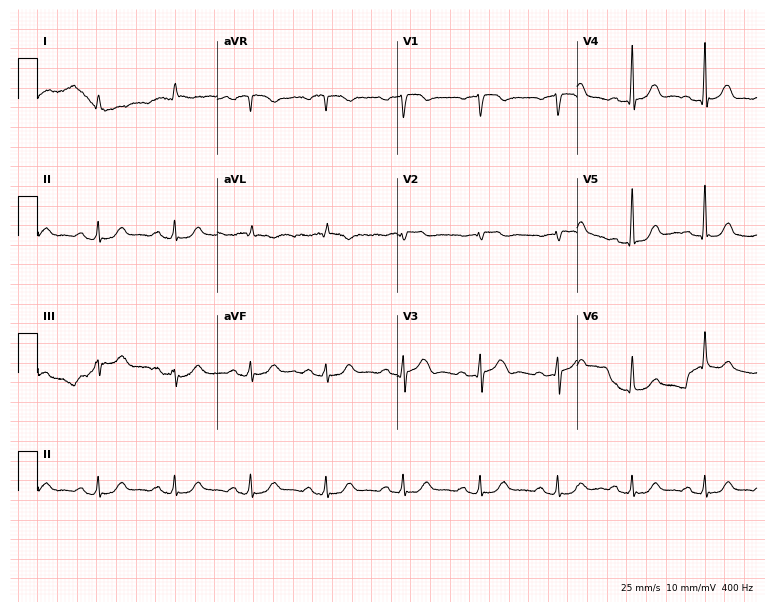
Standard 12-lead ECG recorded from an 85-year-old male patient. Read as a normal ECG.